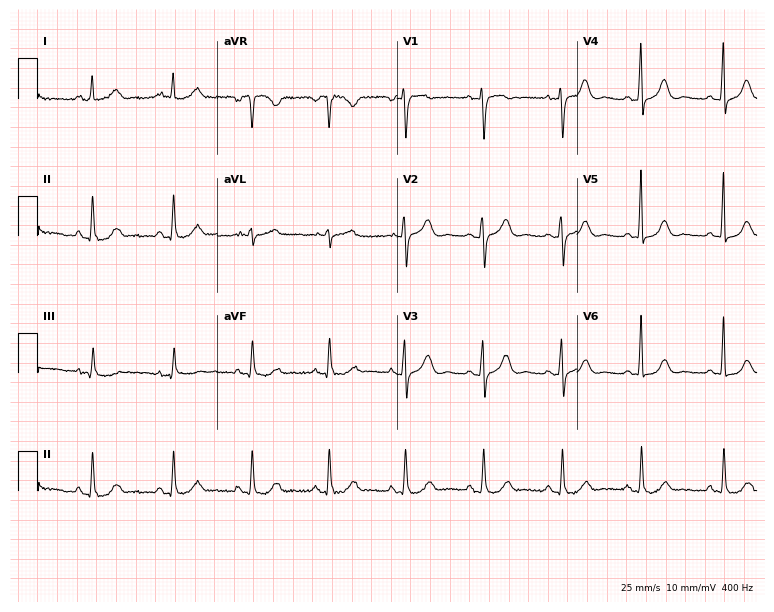
Standard 12-lead ECG recorded from a woman, 70 years old. None of these six findings is recorded: first-degree AV block, right bundle branch block, left bundle branch block, sinus bradycardia, atrial fibrillation, sinus tachycardia.